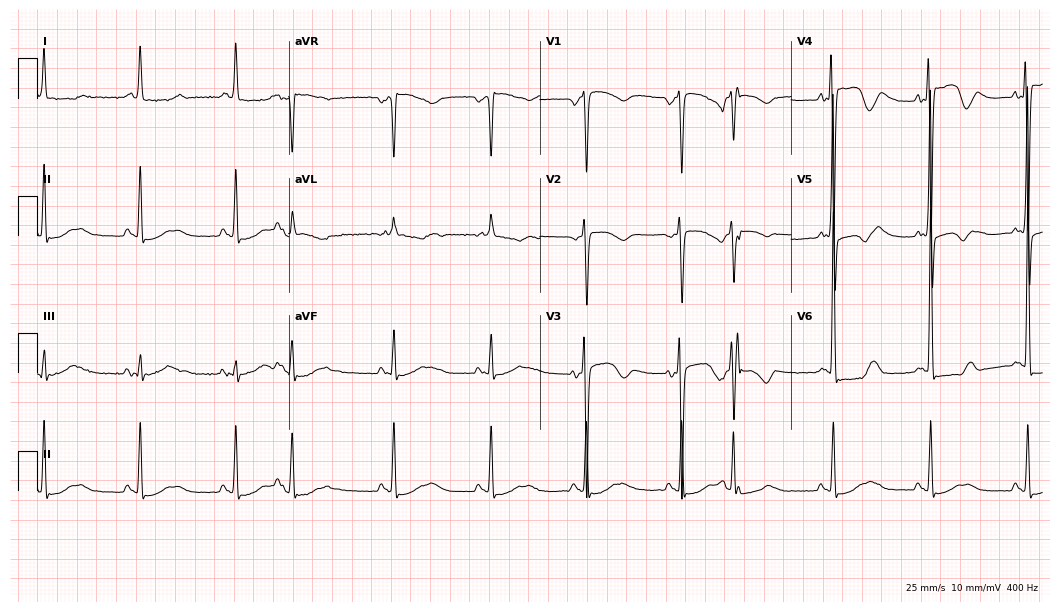
Electrocardiogram, a 72-year-old male. Of the six screened findings (first-degree AV block, right bundle branch block (RBBB), left bundle branch block (LBBB), sinus bradycardia, atrial fibrillation (AF), sinus tachycardia), none is recorded.